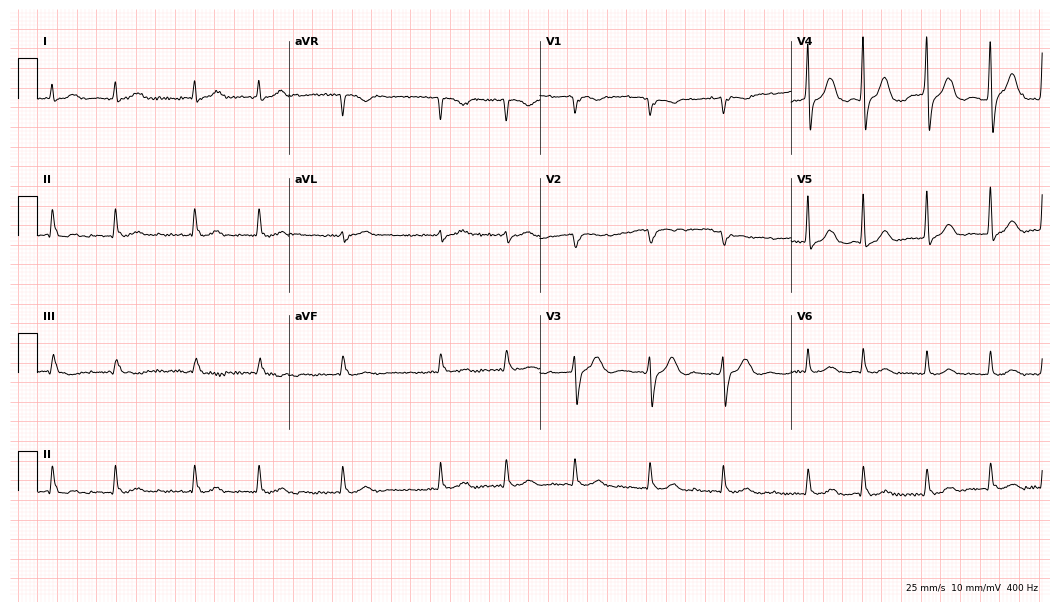
Electrocardiogram, a 79-year-old male patient. Interpretation includes atrial fibrillation.